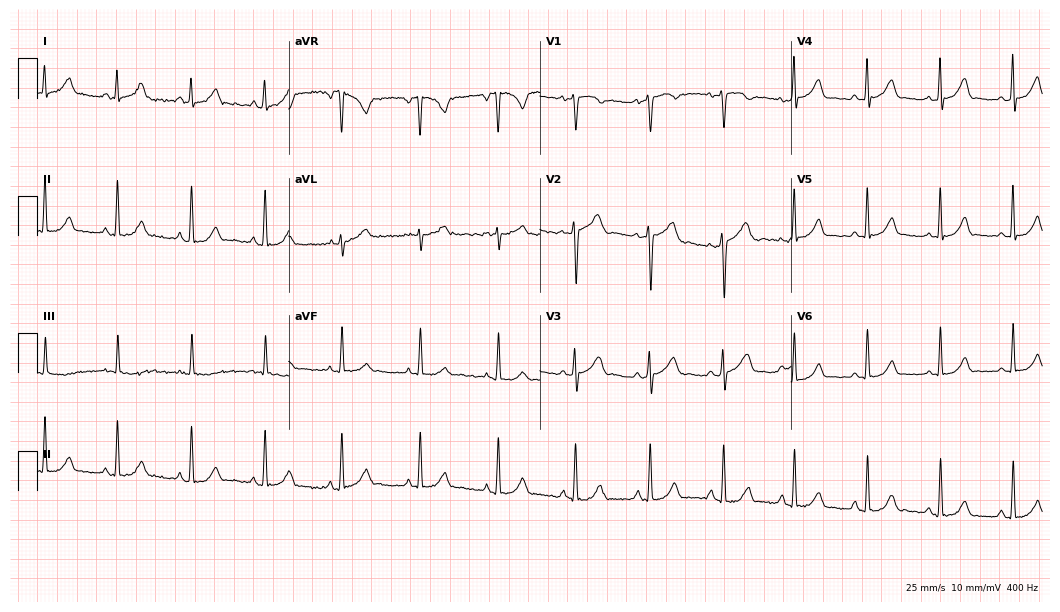
Standard 12-lead ECG recorded from a 24-year-old woman (10.2-second recording at 400 Hz). Read as a normal ECG.